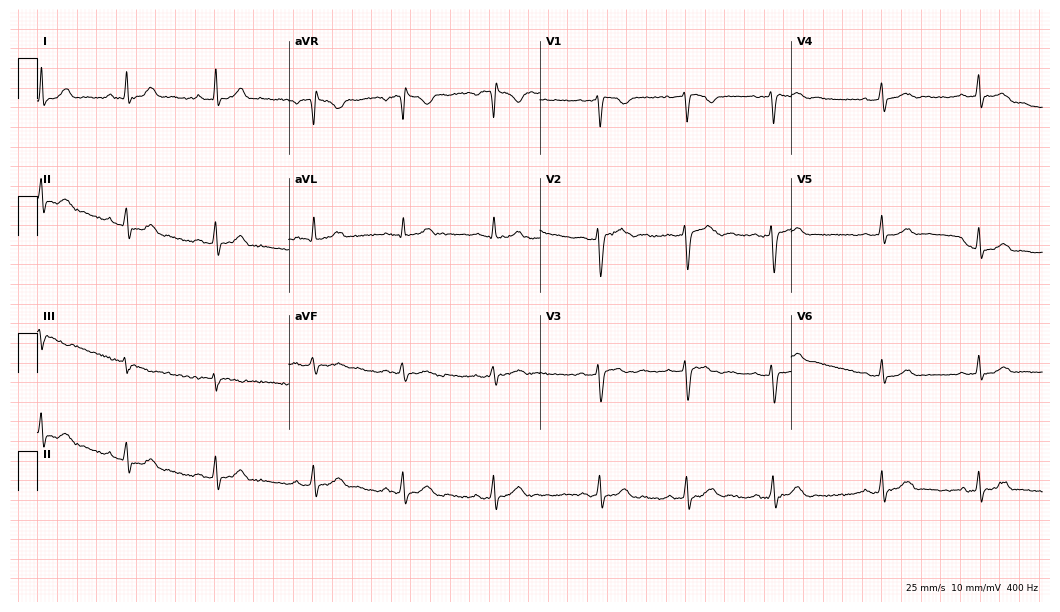
ECG — a female patient, 35 years old. Screened for six findings — first-degree AV block, right bundle branch block, left bundle branch block, sinus bradycardia, atrial fibrillation, sinus tachycardia — none is recorded. Other findings, if any, are not listed.